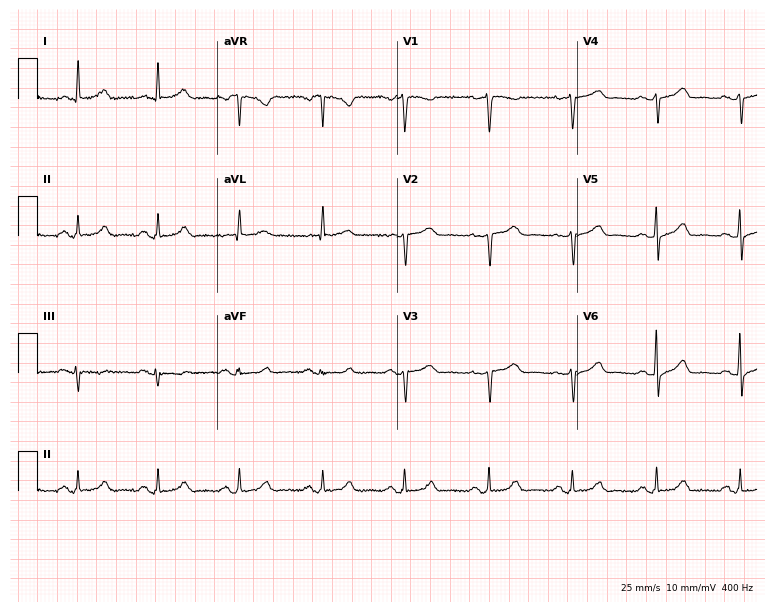
Electrocardiogram (7.3-second recording at 400 Hz), a woman, 65 years old. Of the six screened findings (first-degree AV block, right bundle branch block (RBBB), left bundle branch block (LBBB), sinus bradycardia, atrial fibrillation (AF), sinus tachycardia), none is recorded. Findings outside these six are not listed.